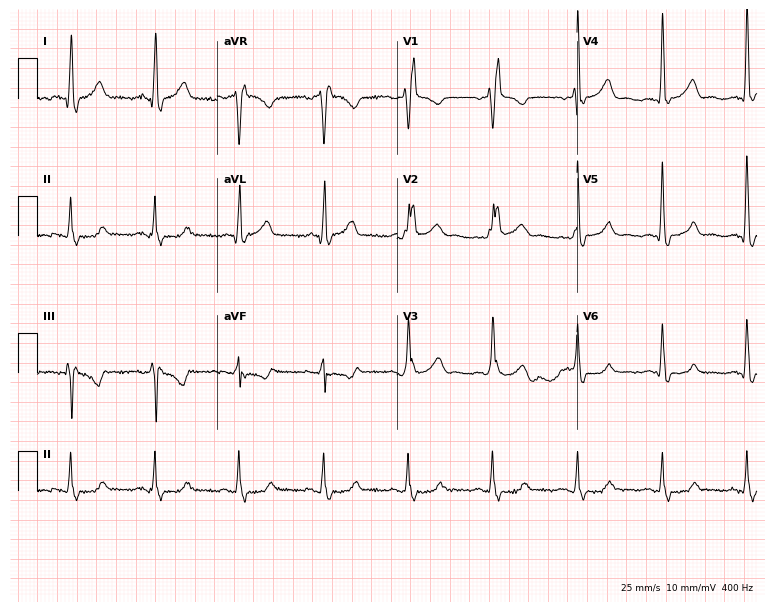
Electrocardiogram (7.3-second recording at 400 Hz), a male, 74 years old. Interpretation includes right bundle branch block.